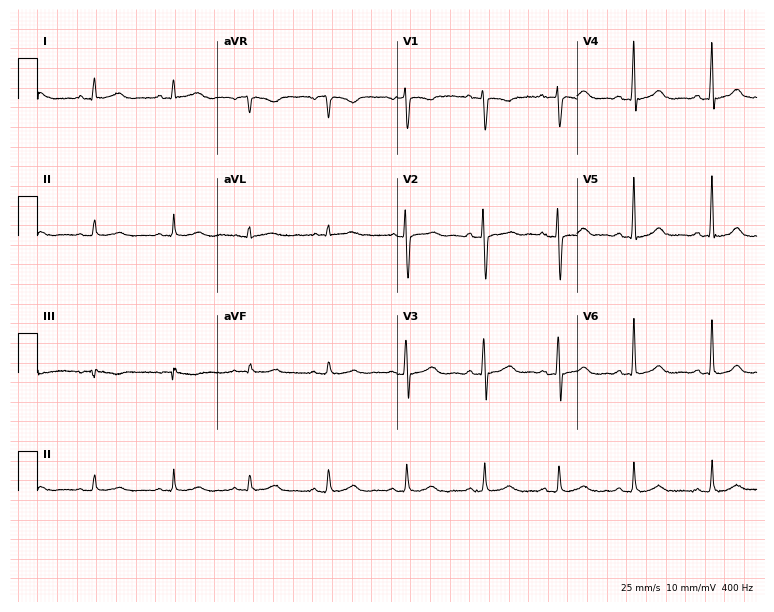
ECG (7.3-second recording at 400 Hz) — a 38-year-old female. Labelled as a normal ECG.